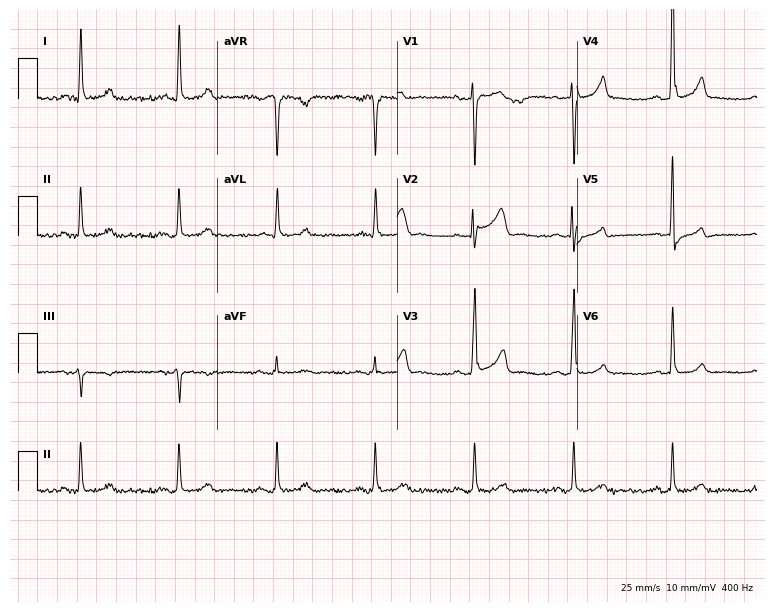
Resting 12-lead electrocardiogram (7.3-second recording at 400 Hz). Patient: a 60-year-old man. None of these six findings is recorded: first-degree AV block, right bundle branch block, left bundle branch block, sinus bradycardia, atrial fibrillation, sinus tachycardia. Only these six findings were labelled.